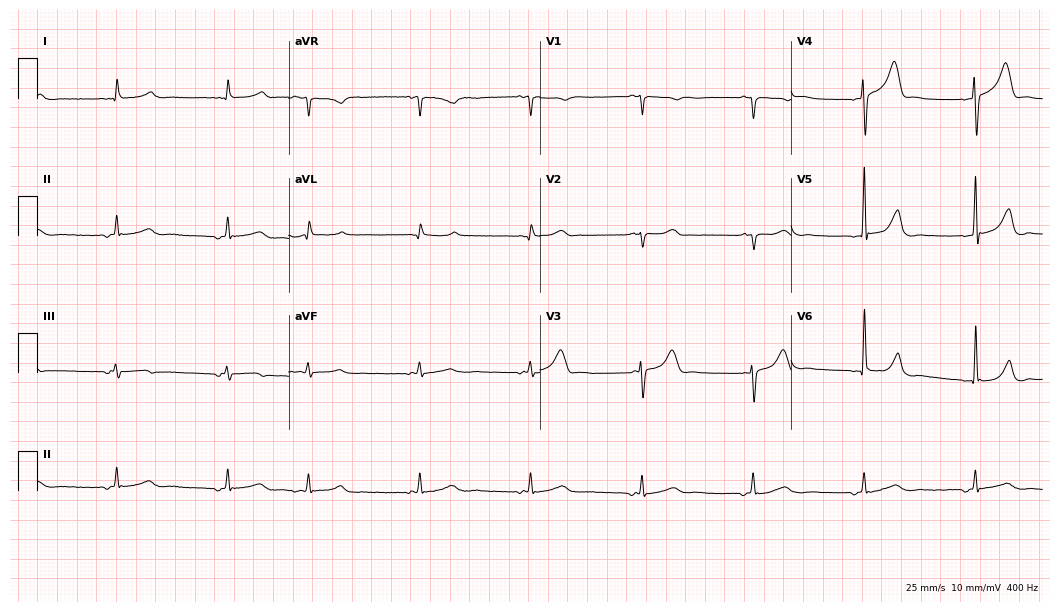
Resting 12-lead electrocardiogram (10.2-second recording at 400 Hz). Patient: an 82-year-old man. None of these six findings is recorded: first-degree AV block, right bundle branch block, left bundle branch block, sinus bradycardia, atrial fibrillation, sinus tachycardia.